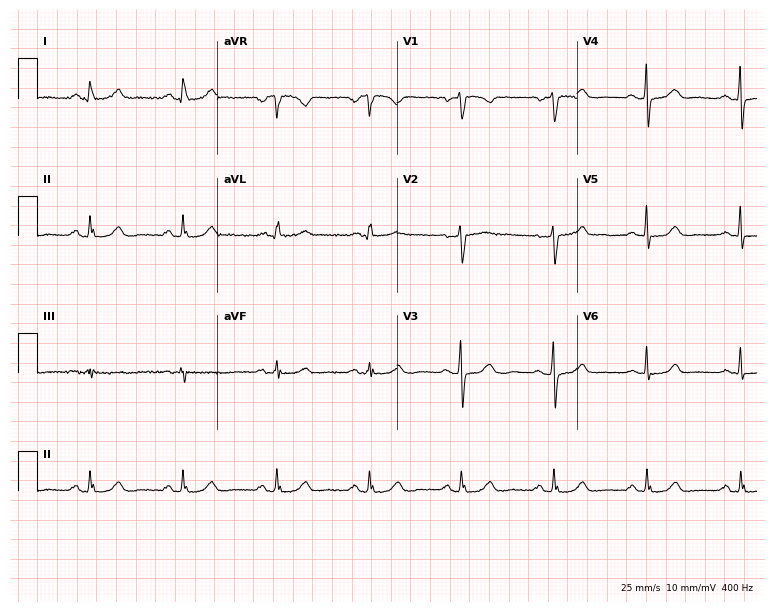
Resting 12-lead electrocardiogram. Patient: a female, 20 years old. Read as a normal ECG.